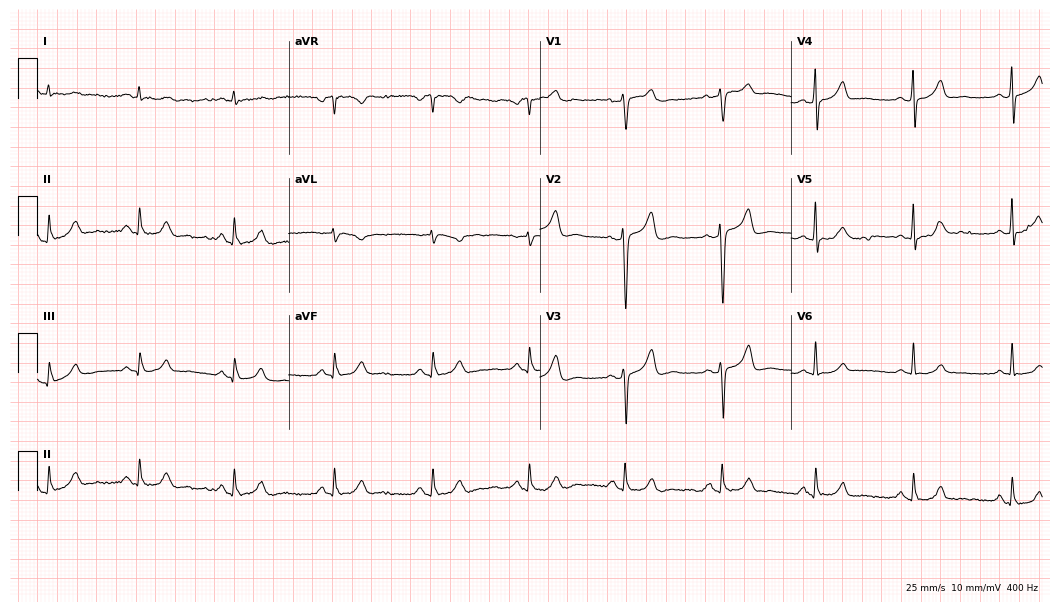
Electrocardiogram (10.2-second recording at 400 Hz), a man, 60 years old. Of the six screened findings (first-degree AV block, right bundle branch block, left bundle branch block, sinus bradycardia, atrial fibrillation, sinus tachycardia), none is recorded. Findings outside these six are not listed.